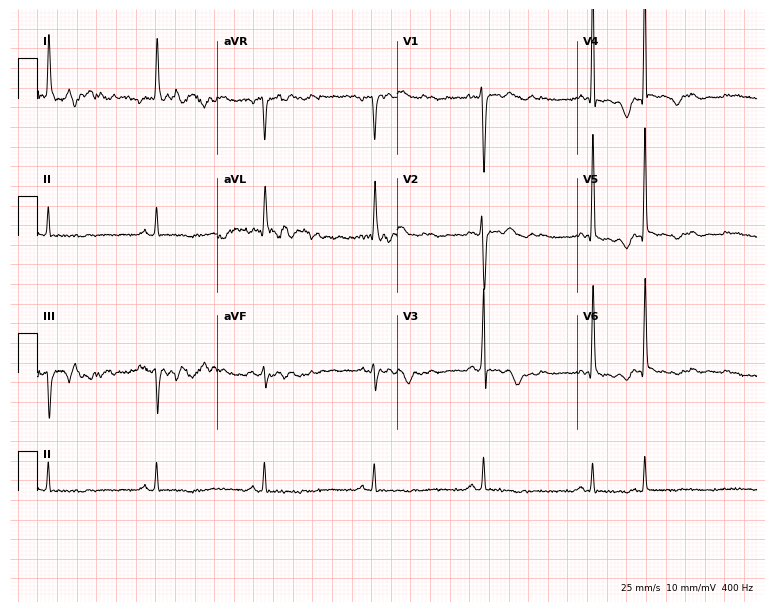
Resting 12-lead electrocardiogram. Patient: an 82-year-old female. None of these six findings is recorded: first-degree AV block, right bundle branch block, left bundle branch block, sinus bradycardia, atrial fibrillation, sinus tachycardia. Other findings, if any, are not listed.